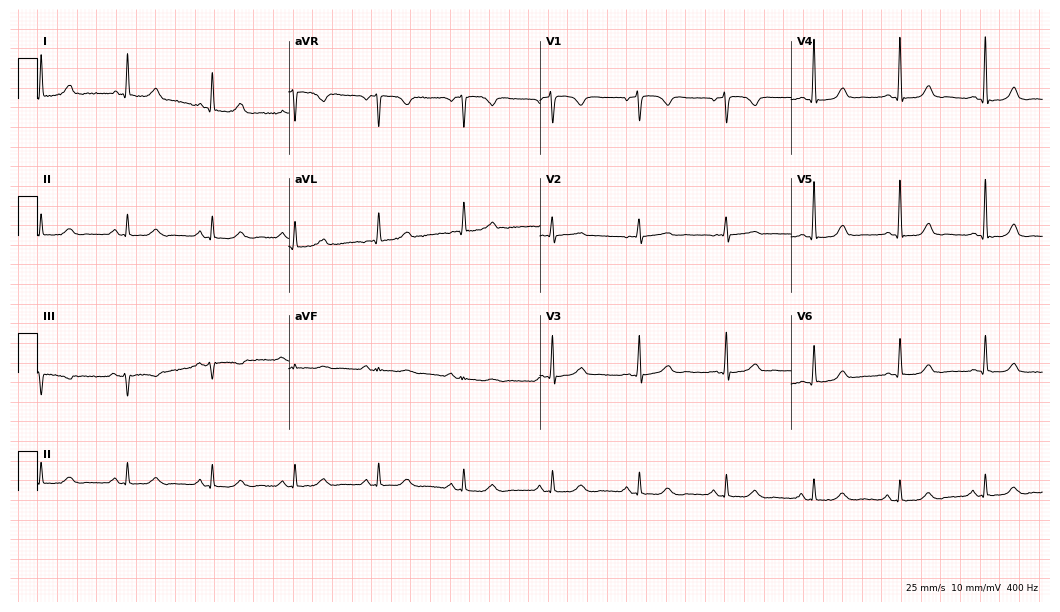
ECG — a woman, 50 years old. Labelled as a normal ECG.